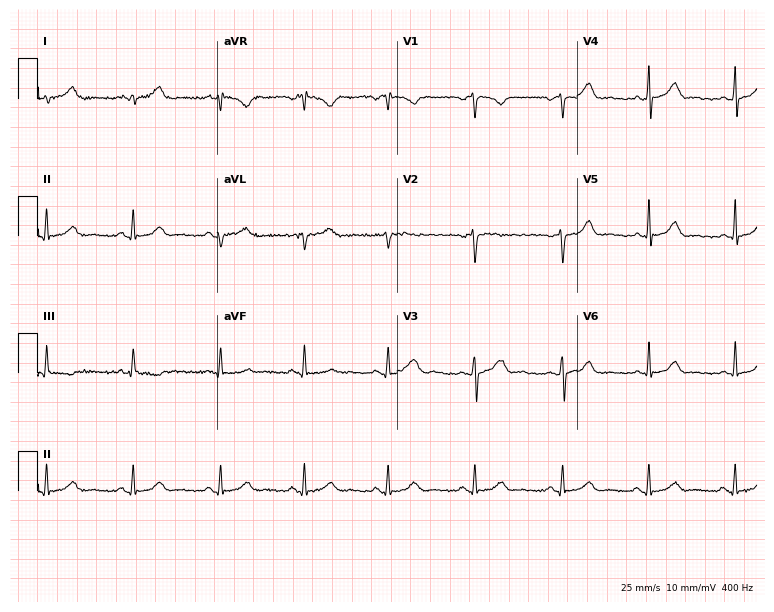
Resting 12-lead electrocardiogram (7.3-second recording at 400 Hz). Patient: a 40-year-old female. None of these six findings is recorded: first-degree AV block, right bundle branch block, left bundle branch block, sinus bradycardia, atrial fibrillation, sinus tachycardia.